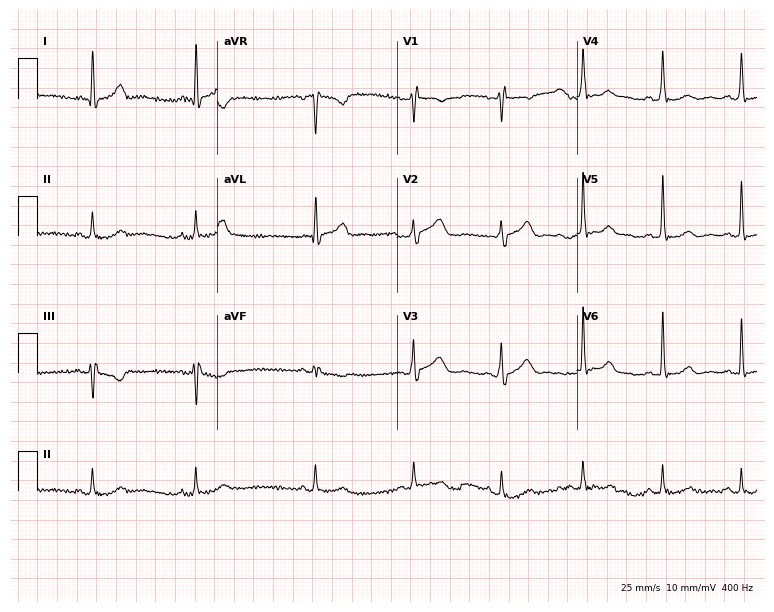
Resting 12-lead electrocardiogram. Patient: a 68-year-old male. None of these six findings is recorded: first-degree AV block, right bundle branch block, left bundle branch block, sinus bradycardia, atrial fibrillation, sinus tachycardia.